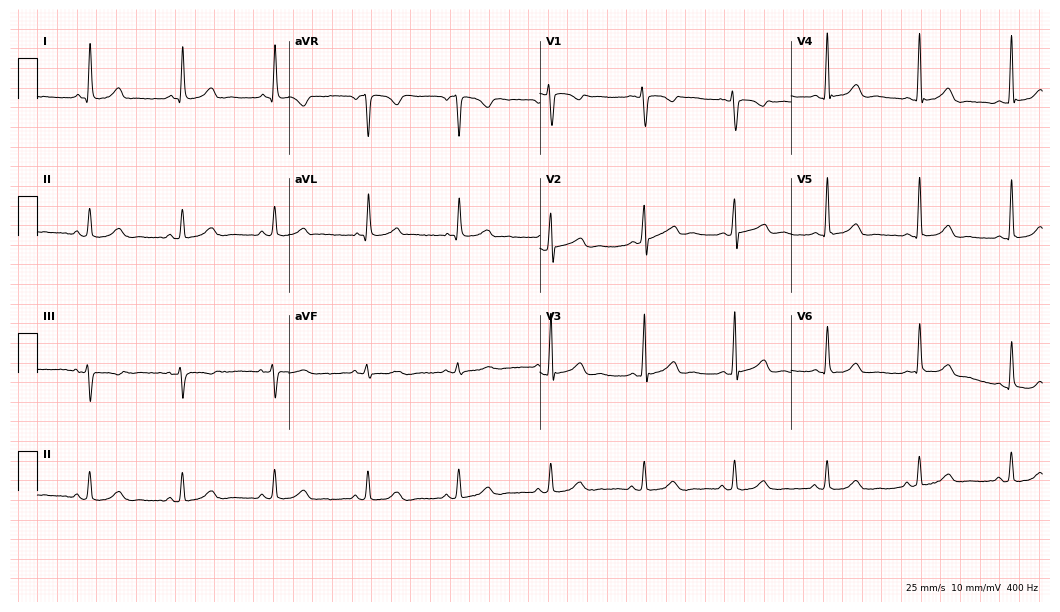
12-lead ECG from a 55-year-old woman (10.2-second recording at 400 Hz). No first-degree AV block, right bundle branch block, left bundle branch block, sinus bradycardia, atrial fibrillation or sinus tachycardia recorded for this tracing.